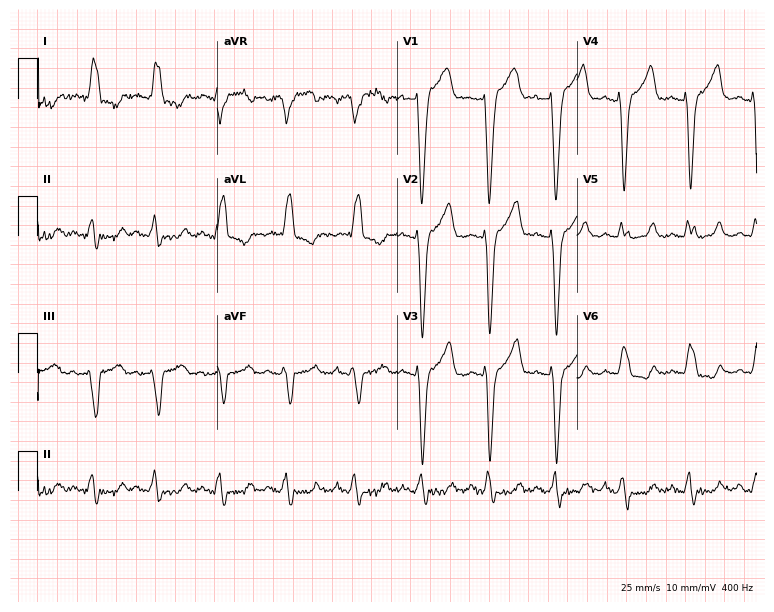
Standard 12-lead ECG recorded from a male patient, 80 years old. The tracing shows left bundle branch block.